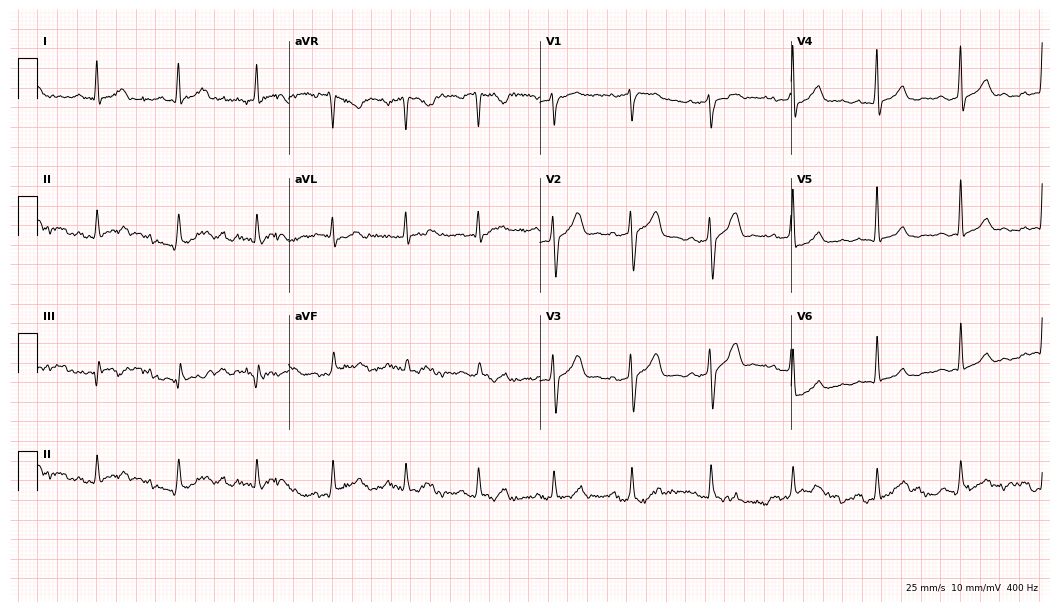
Standard 12-lead ECG recorded from a 51-year-old male patient. Read as a normal ECG.